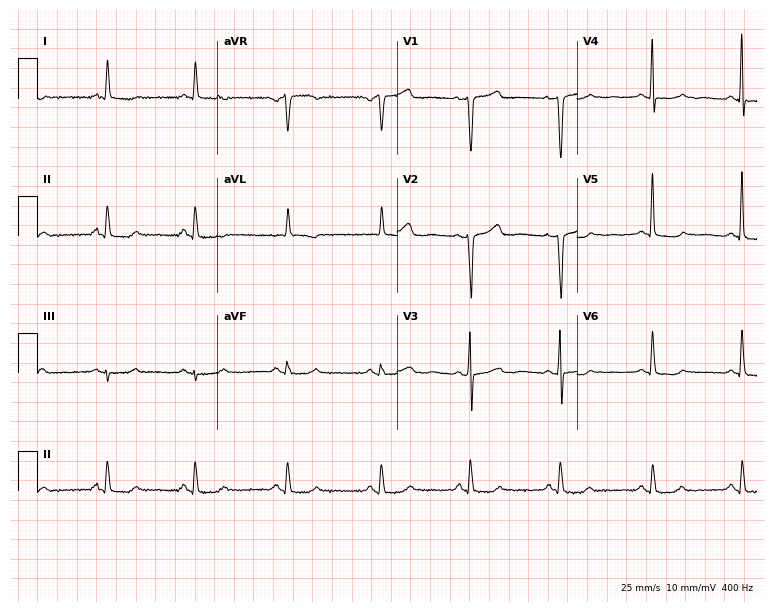
Standard 12-lead ECG recorded from a female, 46 years old. None of these six findings is recorded: first-degree AV block, right bundle branch block, left bundle branch block, sinus bradycardia, atrial fibrillation, sinus tachycardia. Other findings, if any, are not listed.